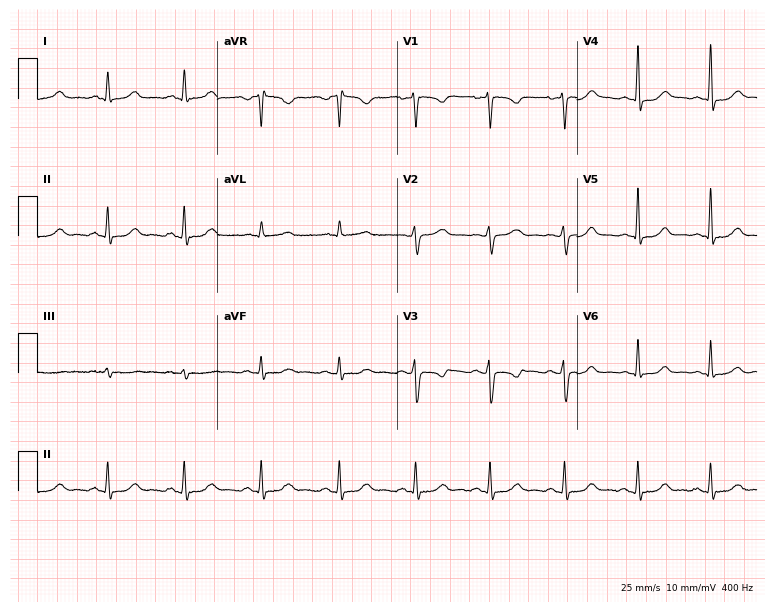
Electrocardiogram (7.3-second recording at 400 Hz), a 39-year-old woman. Of the six screened findings (first-degree AV block, right bundle branch block, left bundle branch block, sinus bradycardia, atrial fibrillation, sinus tachycardia), none is recorded.